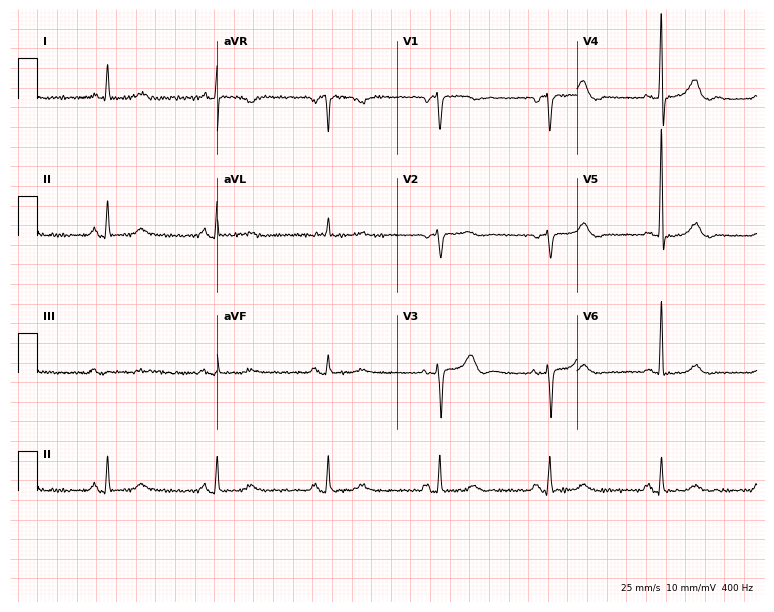
12-lead ECG (7.3-second recording at 400 Hz) from a 63-year-old woman. Labelled as a normal ECG.